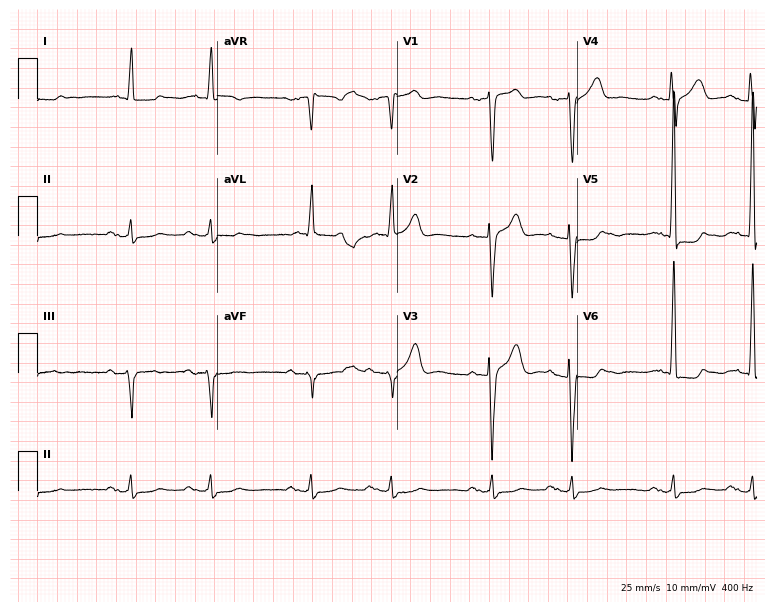
12-lead ECG from a male, 83 years old (7.3-second recording at 400 Hz). Shows first-degree AV block.